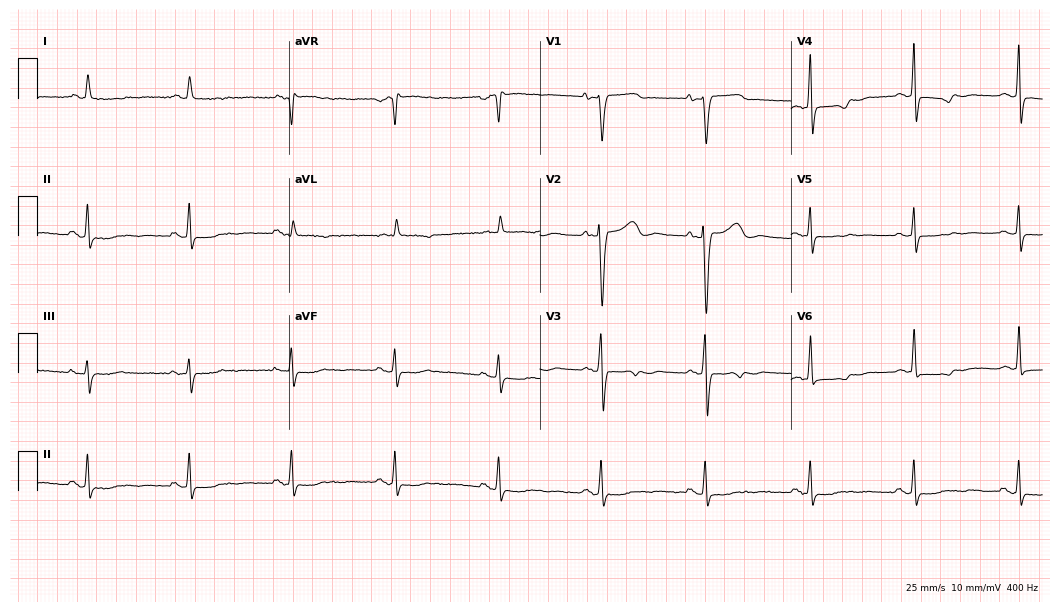
ECG (10.2-second recording at 400 Hz) — a 64-year-old female. Screened for six findings — first-degree AV block, right bundle branch block (RBBB), left bundle branch block (LBBB), sinus bradycardia, atrial fibrillation (AF), sinus tachycardia — none is recorded. Other findings, if any, are not listed.